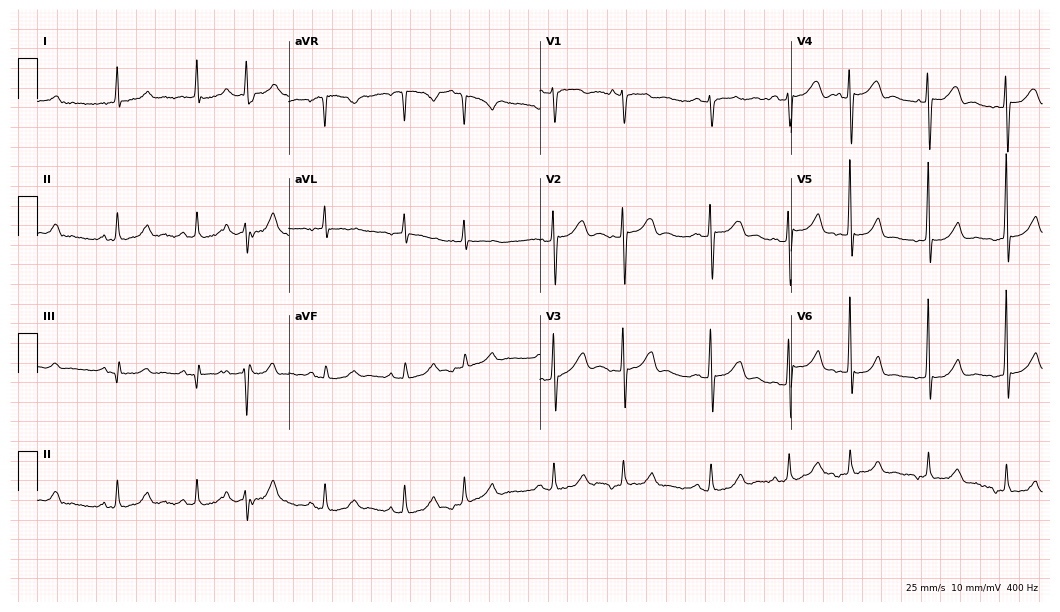
12-lead ECG from a 76-year-old male patient (10.2-second recording at 400 Hz). No first-degree AV block, right bundle branch block, left bundle branch block, sinus bradycardia, atrial fibrillation or sinus tachycardia recorded for this tracing.